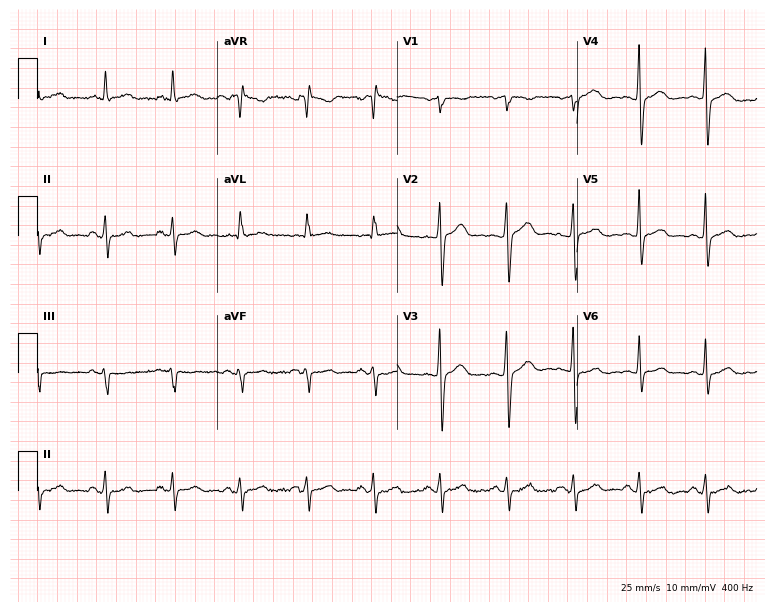
Standard 12-lead ECG recorded from a 47-year-old man (7.3-second recording at 400 Hz). Read as a normal ECG.